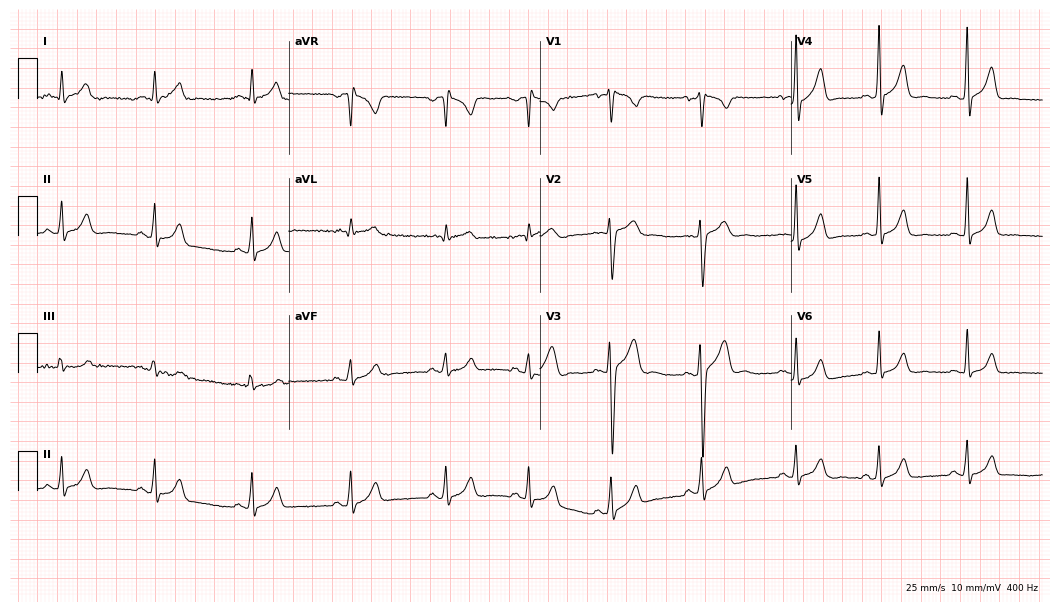
12-lead ECG (10.2-second recording at 400 Hz) from a man, 22 years old. Labelled as a normal ECG.